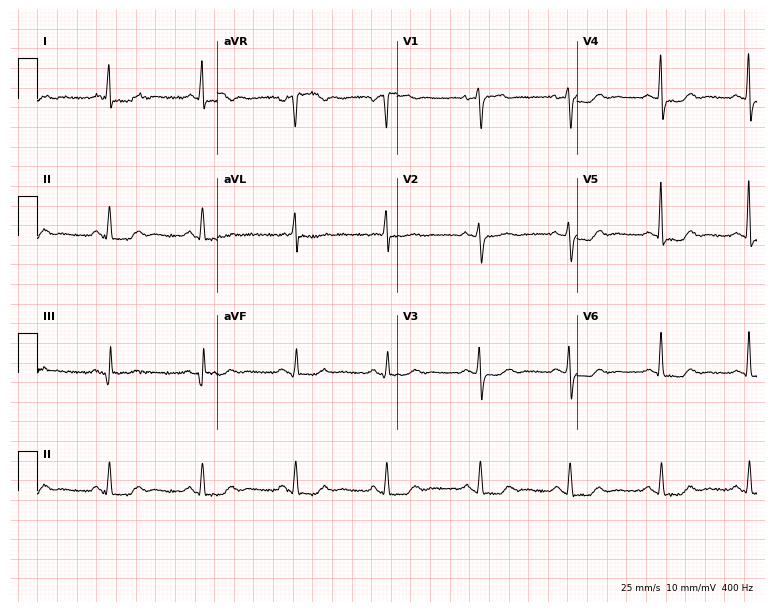
Standard 12-lead ECG recorded from a woman, 64 years old. None of these six findings is recorded: first-degree AV block, right bundle branch block, left bundle branch block, sinus bradycardia, atrial fibrillation, sinus tachycardia. Only these six findings were labelled.